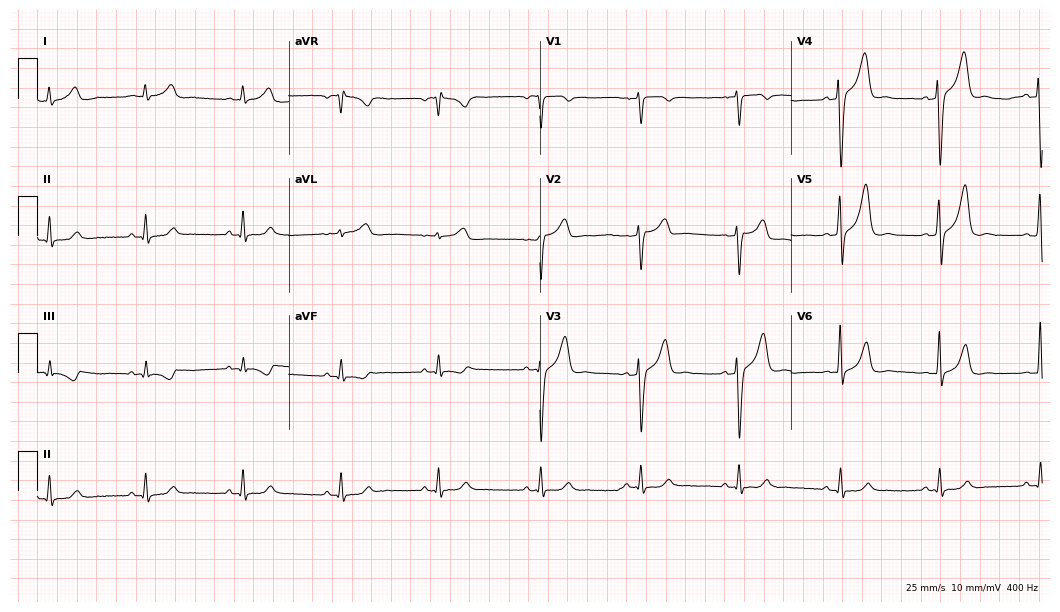
Standard 12-lead ECG recorded from a female, 50 years old (10.2-second recording at 400 Hz). Read as a normal ECG.